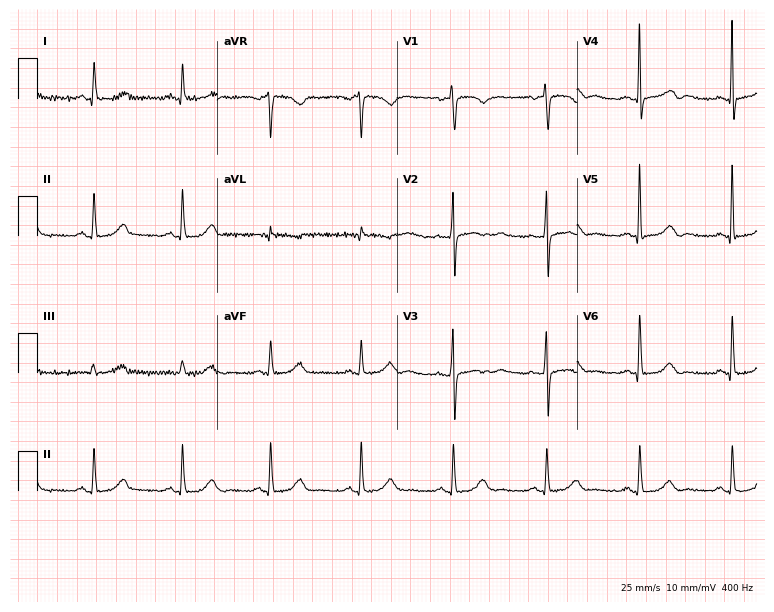
12-lead ECG (7.3-second recording at 400 Hz) from a female, 64 years old. Labelled as a normal ECG.